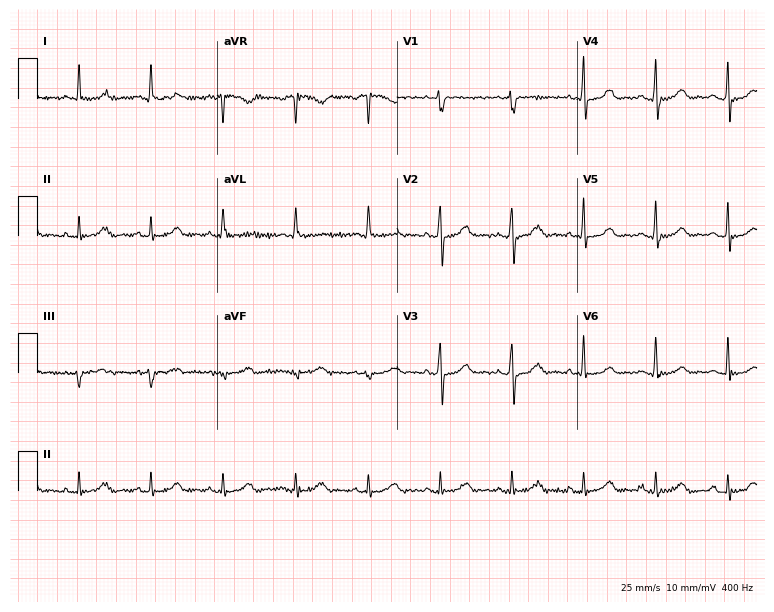
12-lead ECG (7.3-second recording at 400 Hz) from a female, 64 years old. Screened for six findings — first-degree AV block, right bundle branch block, left bundle branch block, sinus bradycardia, atrial fibrillation, sinus tachycardia — none is recorded.